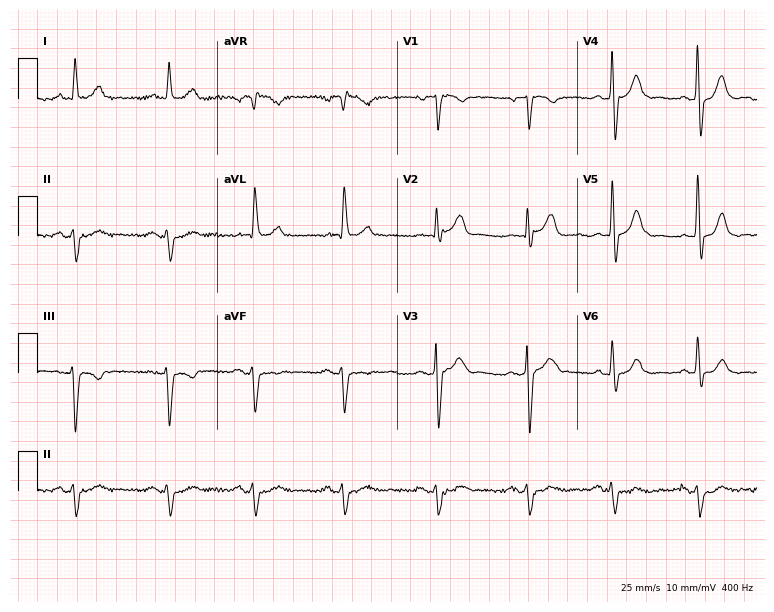
Resting 12-lead electrocardiogram. Patient: a male, 84 years old. None of these six findings is recorded: first-degree AV block, right bundle branch block, left bundle branch block, sinus bradycardia, atrial fibrillation, sinus tachycardia.